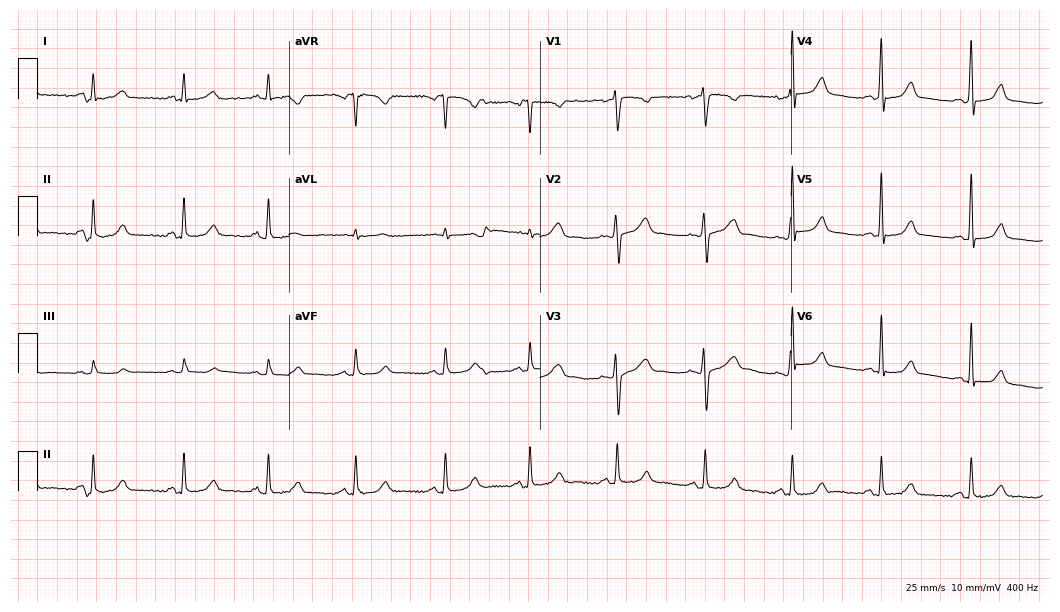
ECG (10.2-second recording at 400 Hz) — a female, 34 years old. Labelled as a normal ECG.